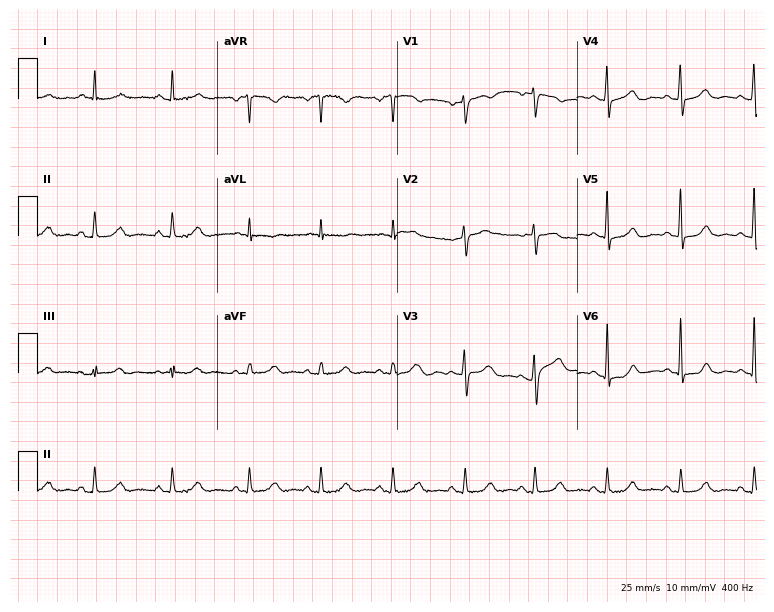
12-lead ECG from a 36-year-old female (7.3-second recording at 400 Hz). Recorded interpretation: within normal limits.